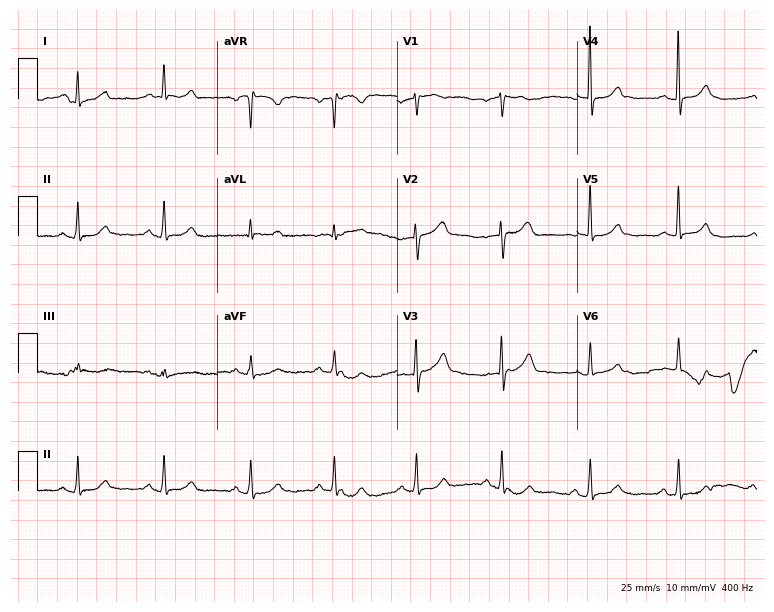
12-lead ECG from a female patient, 60 years old (7.3-second recording at 400 Hz). No first-degree AV block, right bundle branch block, left bundle branch block, sinus bradycardia, atrial fibrillation or sinus tachycardia recorded for this tracing. Findings outside these six are not listed.